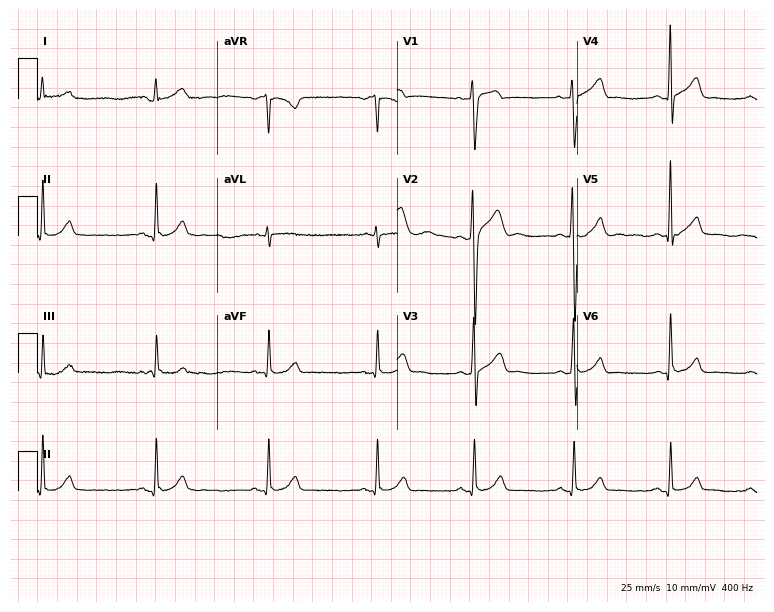
Standard 12-lead ECG recorded from a man, 34 years old. Read as a normal ECG.